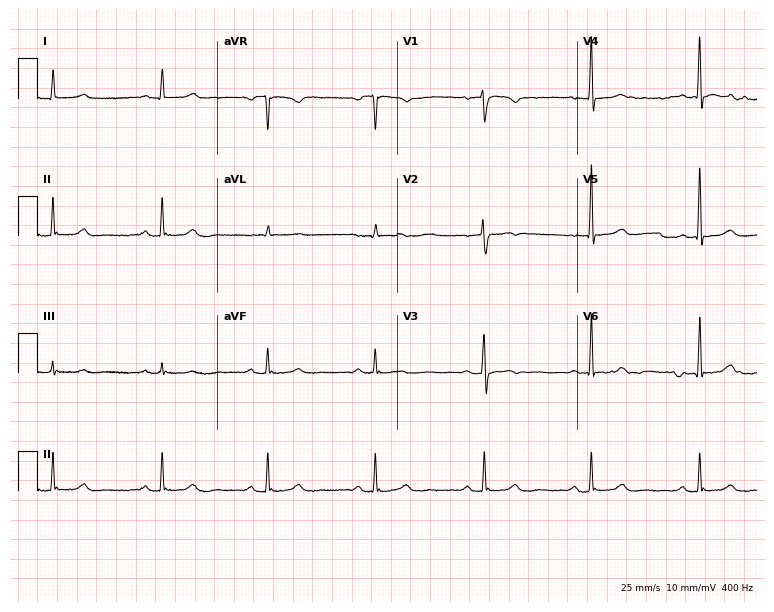
12-lead ECG from a 77-year-old woman. Recorded interpretation: within normal limits.